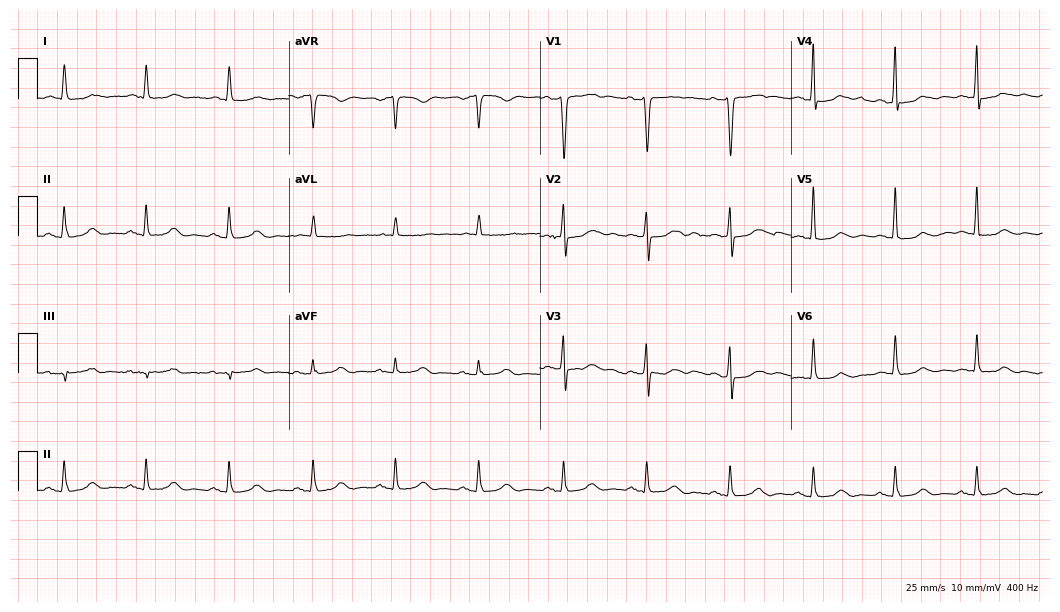
ECG — a man, 74 years old. Labelled as a normal ECG.